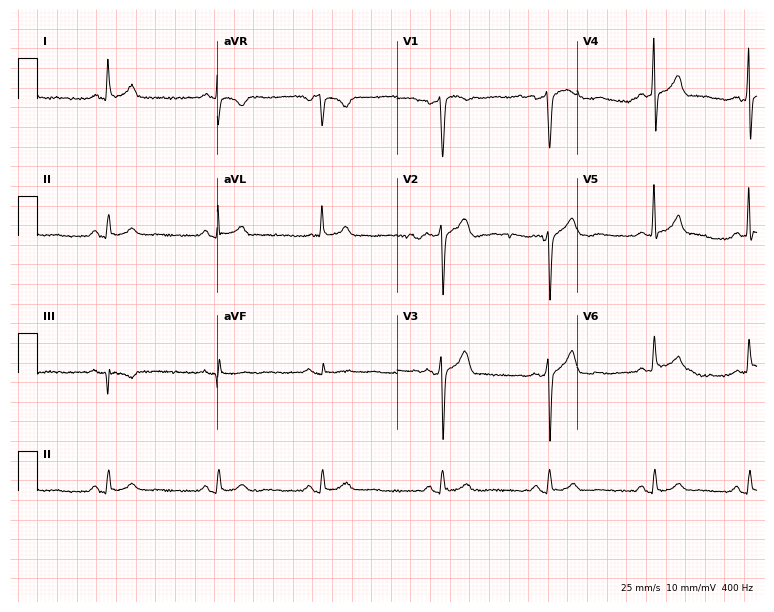
12-lead ECG (7.3-second recording at 400 Hz) from a 53-year-old male patient. Labelled as a normal ECG.